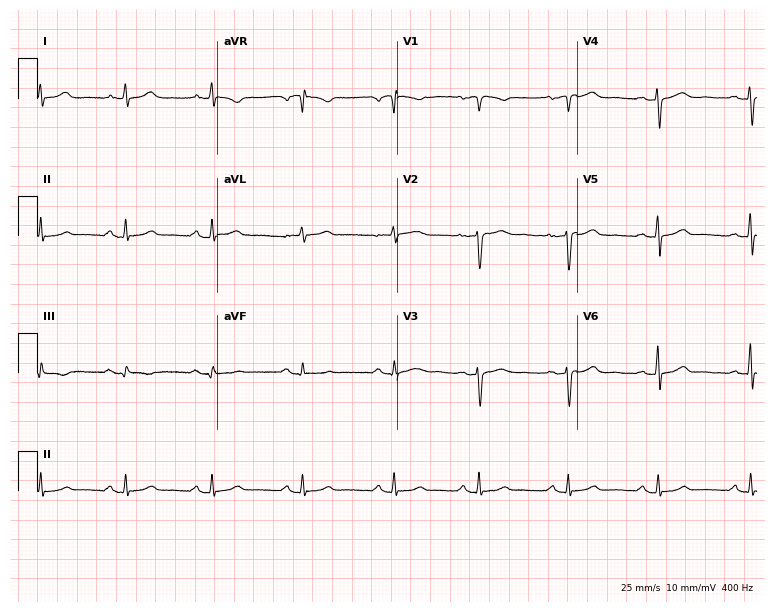
Resting 12-lead electrocardiogram. Patient: a 43-year-old female. Read as a normal ECG.